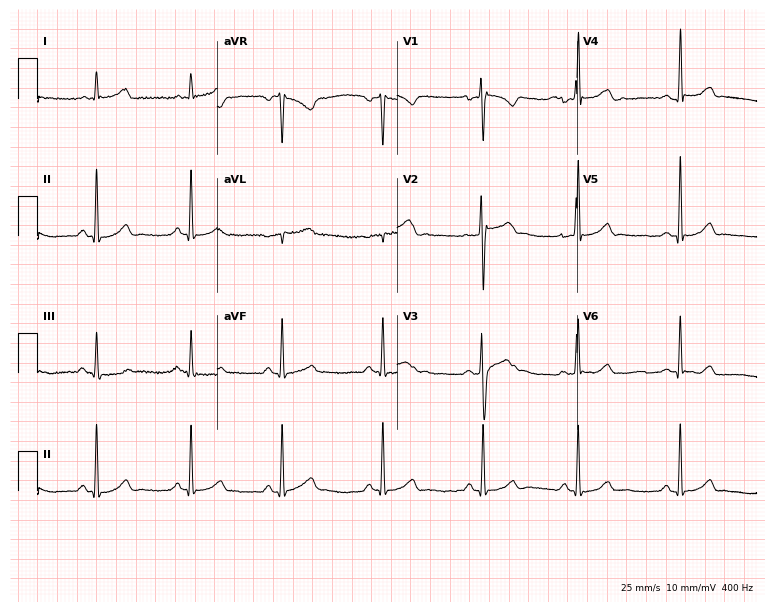
Standard 12-lead ECG recorded from an 82-year-old male patient. Read as a normal ECG.